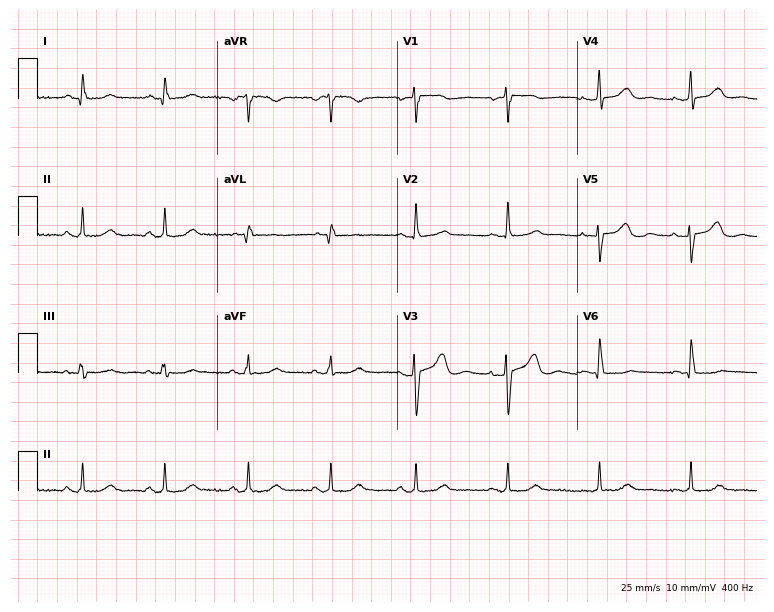
Resting 12-lead electrocardiogram. Patient: a 54-year-old female. None of these six findings is recorded: first-degree AV block, right bundle branch block (RBBB), left bundle branch block (LBBB), sinus bradycardia, atrial fibrillation (AF), sinus tachycardia. Findings outside these six are not listed.